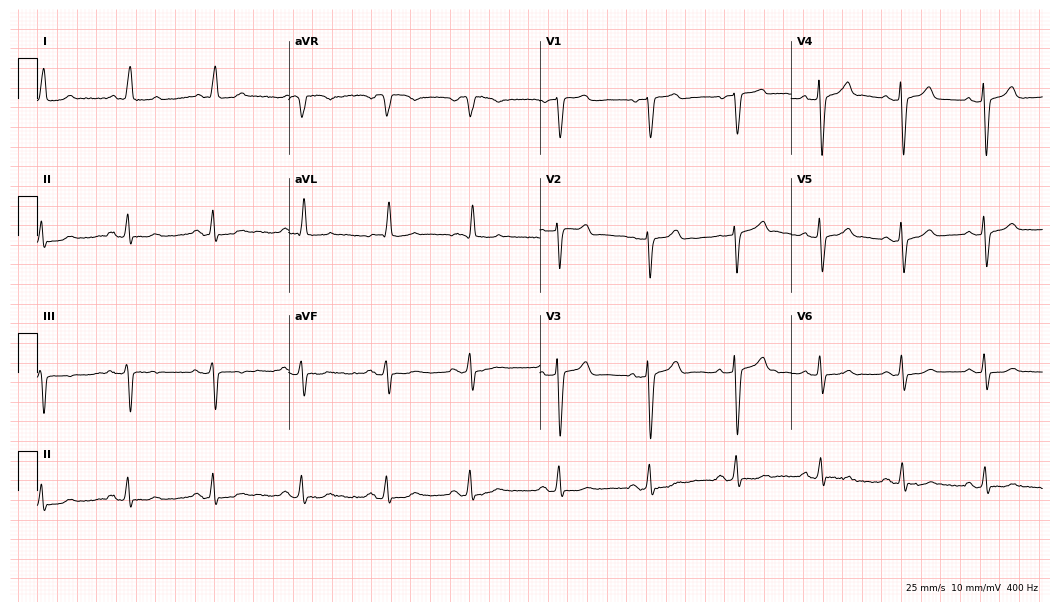
Standard 12-lead ECG recorded from a female patient, 75 years old. Read as a normal ECG.